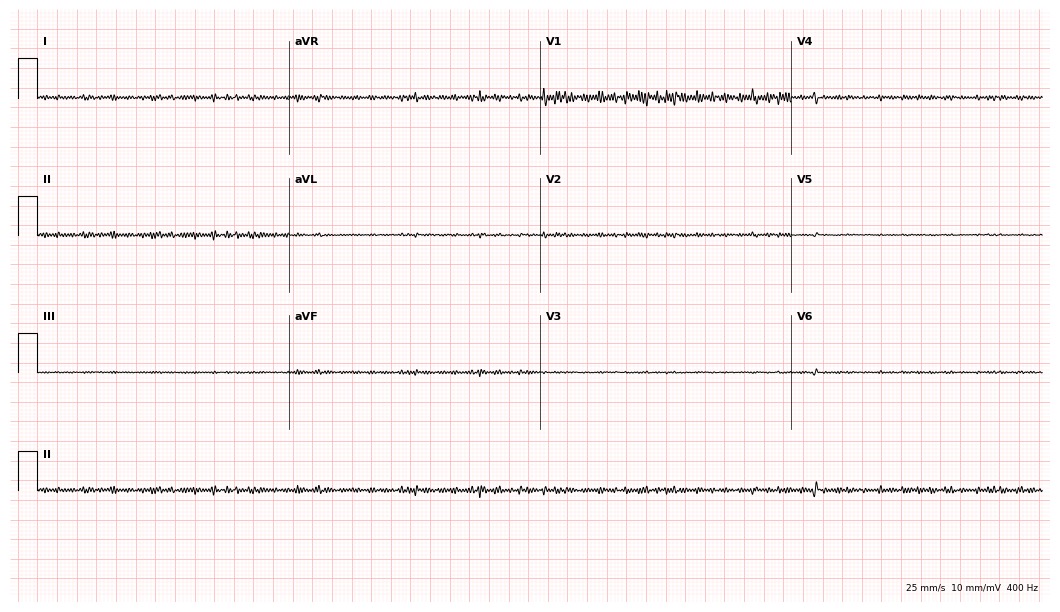
ECG — a 71-year-old male patient. Screened for six findings — first-degree AV block, right bundle branch block, left bundle branch block, sinus bradycardia, atrial fibrillation, sinus tachycardia — none is recorded.